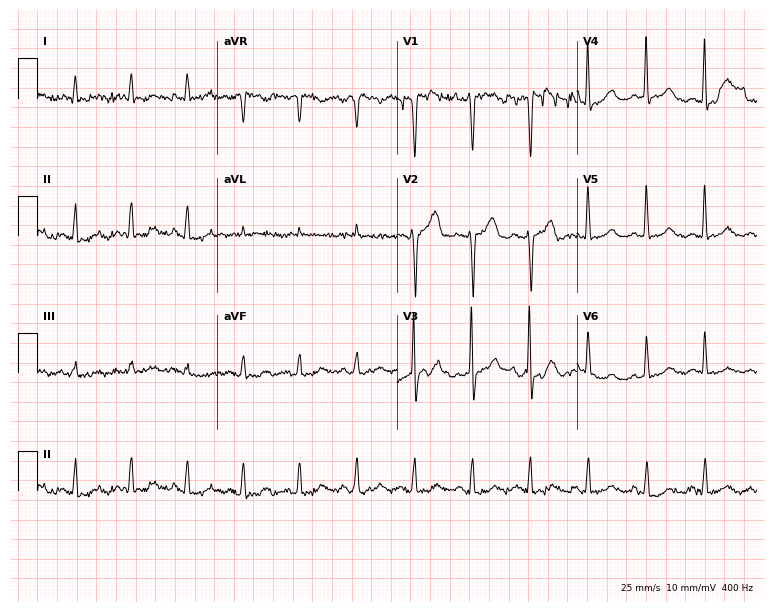
12-lead ECG from a male, 54 years old. Screened for six findings — first-degree AV block, right bundle branch block (RBBB), left bundle branch block (LBBB), sinus bradycardia, atrial fibrillation (AF), sinus tachycardia — none is recorded.